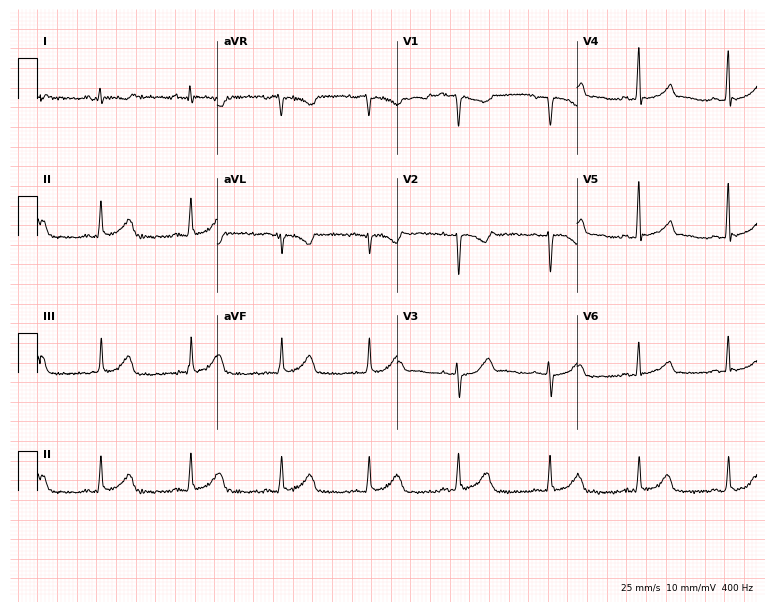
12-lead ECG from a woman, 36 years old. Recorded interpretation: within normal limits.